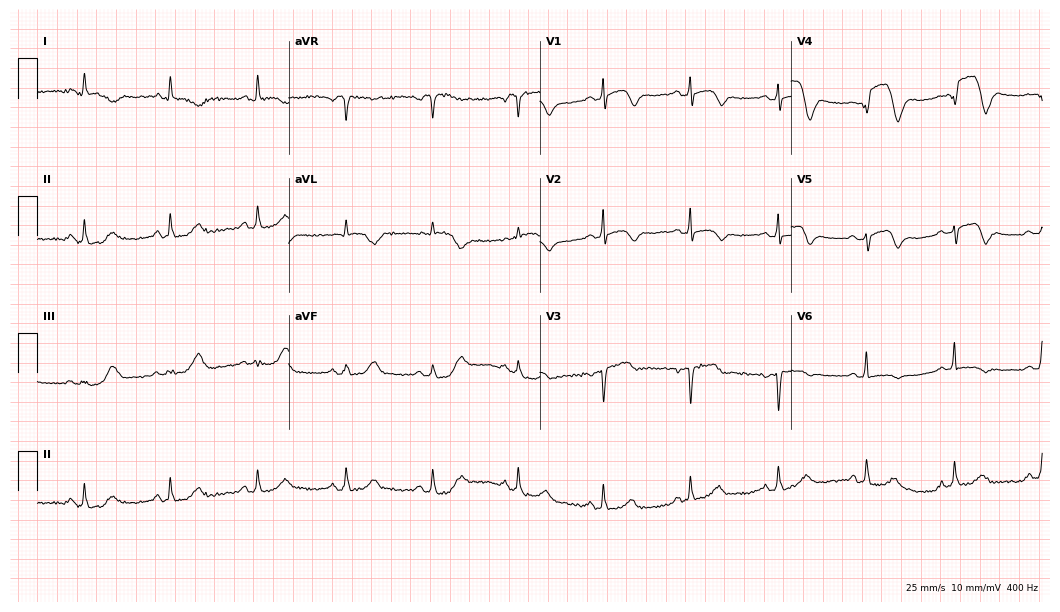
ECG (10.2-second recording at 400 Hz) — a 79-year-old female patient. Screened for six findings — first-degree AV block, right bundle branch block, left bundle branch block, sinus bradycardia, atrial fibrillation, sinus tachycardia — none is recorded.